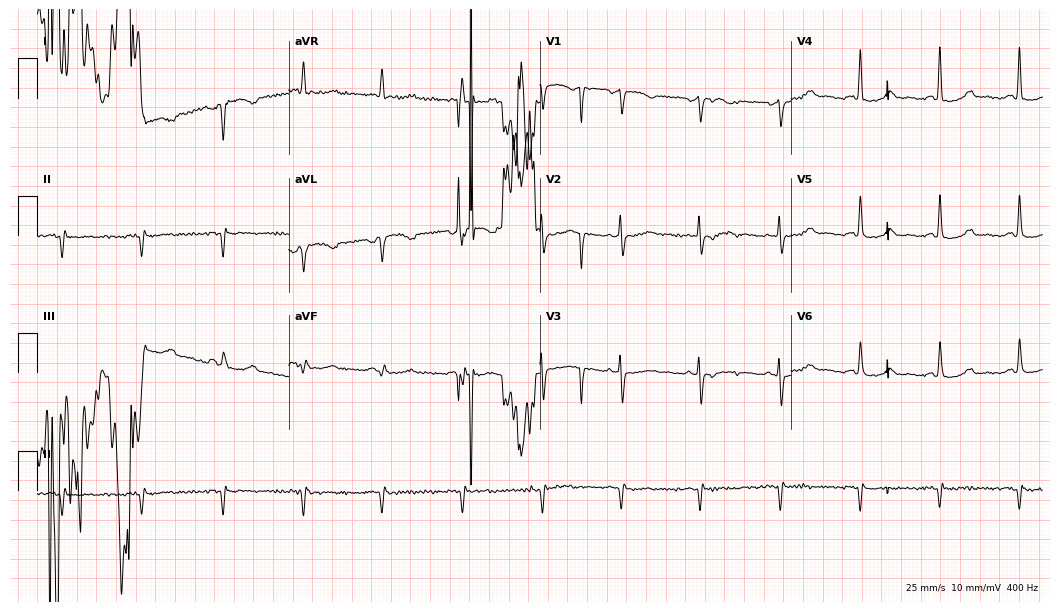
Electrocardiogram (10.2-second recording at 400 Hz), a 77-year-old male patient. Of the six screened findings (first-degree AV block, right bundle branch block, left bundle branch block, sinus bradycardia, atrial fibrillation, sinus tachycardia), none is recorded. Other findings, if any, are not listed.